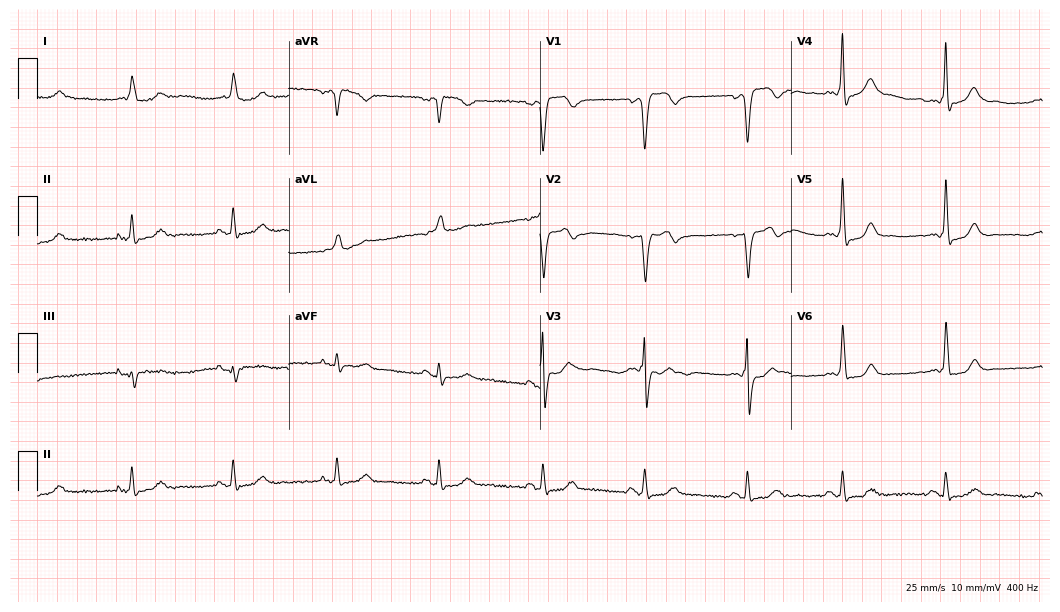
Resting 12-lead electrocardiogram. Patient: a male, 76 years old. None of these six findings is recorded: first-degree AV block, right bundle branch block, left bundle branch block, sinus bradycardia, atrial fibrillation, sinus tachycardia.